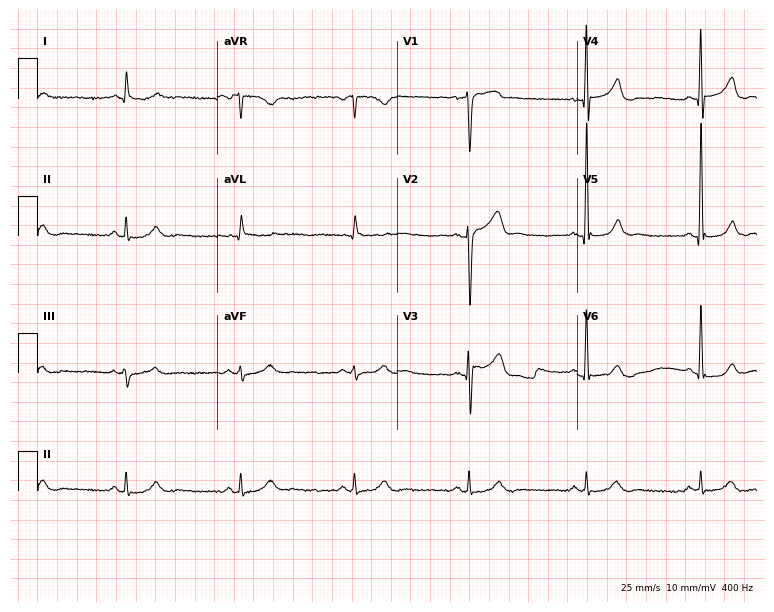
12-lead ECG (7.3-second recording at 400 Hz) from a 67-year-old male patient. Screened for six findings — first-degree AV block, right bundle branch block, left bundle branch block, sinus bradycardia, atrial fibrillation, sinus tachycardia — none is recorded.